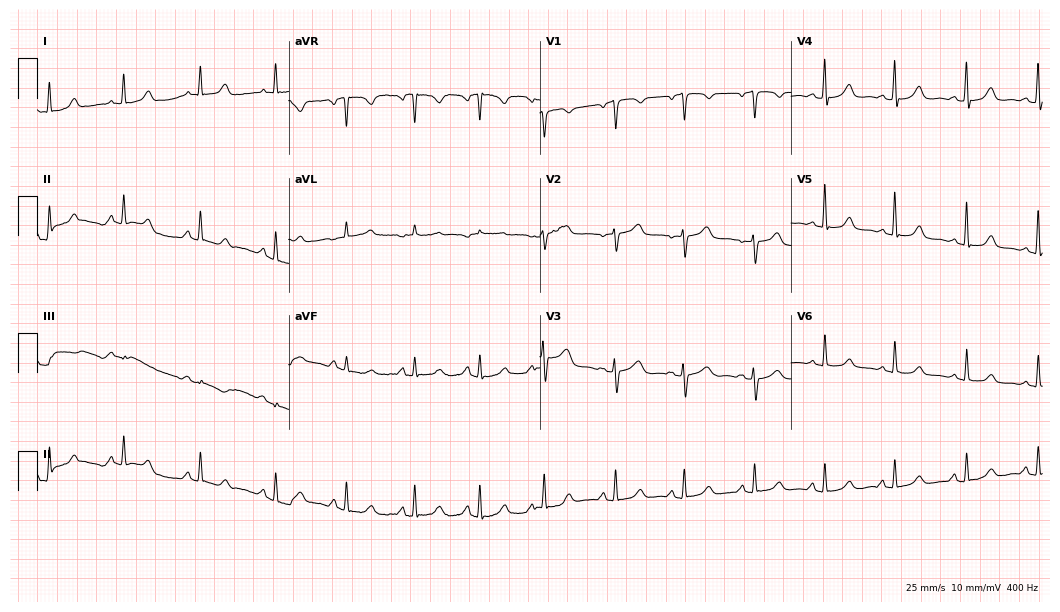
Standard 12-lead ECG recorded from a 50-year-old woman (10.2-second recording at 400 Hz). None of these six findings is recorded: first-degree AV block, right bundle branch block, left bundle branch block, sinus bradycardia, atrial fibrillation, sinus tachycardia.